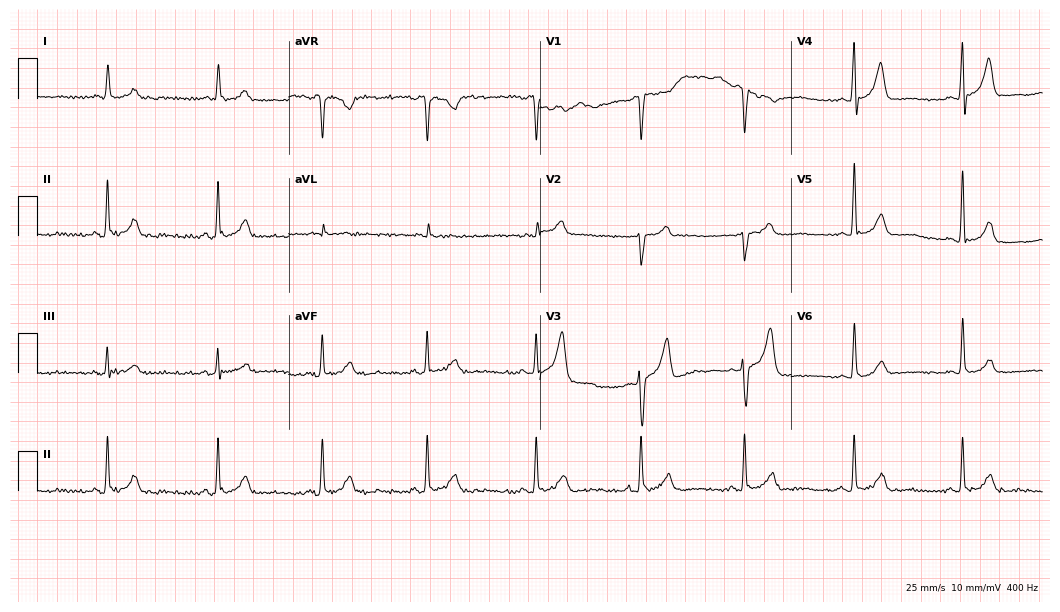
ECG (10.2-second recording at 400 Hz) — a male, 62 years old. Screened for six findings — first-degree AV block, right bundle branch block (RBBB), left bundle branch block (LBBB), sinus bradycardia, atrial fibrillation (AF), sinus tachycardia — none is recorded. Only these six findings were labelled.